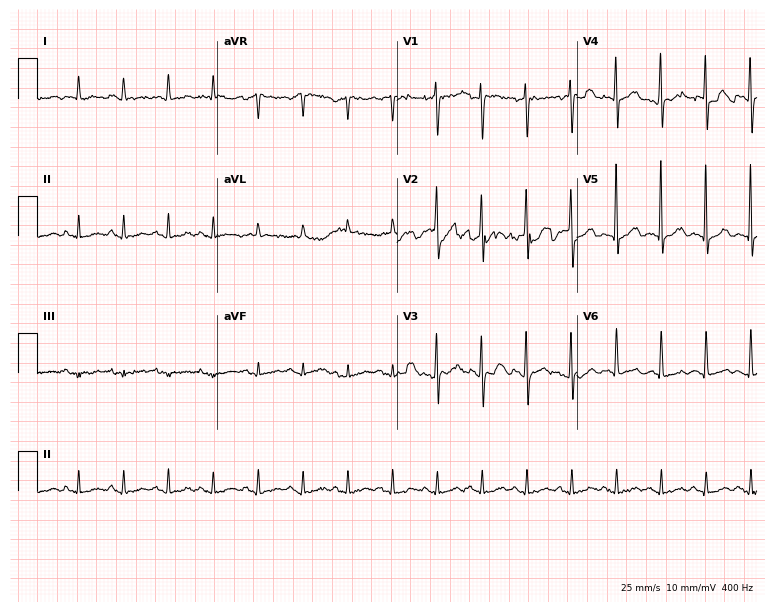
12-lead ECG (7.3-second recording at 400 Hz) from a 73-year-old female patient. Findings include sinus tachycardia (a sinus rate of 100 beats per minute or more).